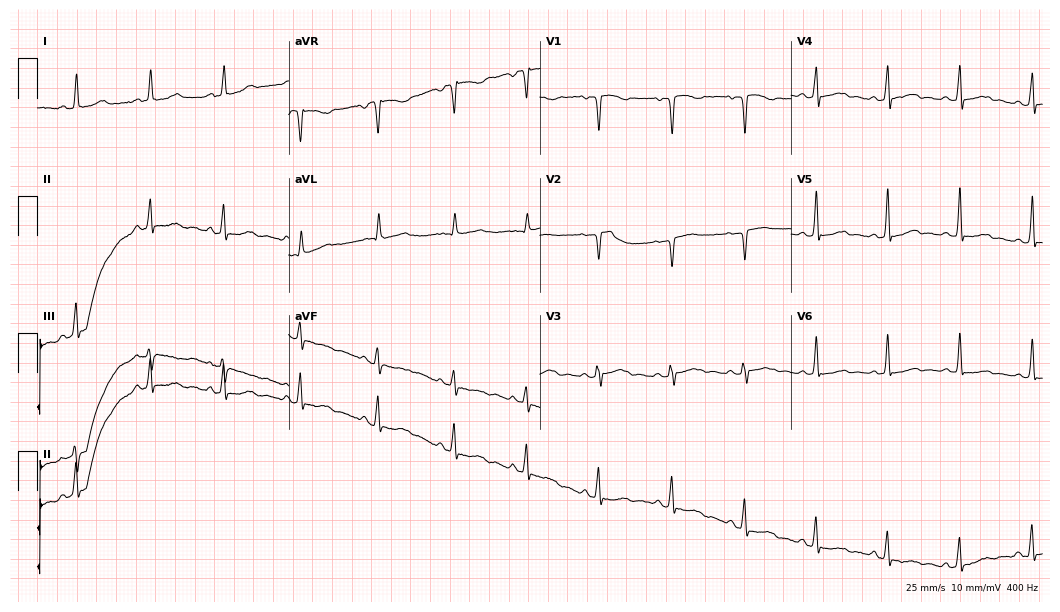
Resting 12-lead electrocardiogram (10.2-second recording at 400 Hz). Patient: a woman, 36 years old. Read as a normal ECG.